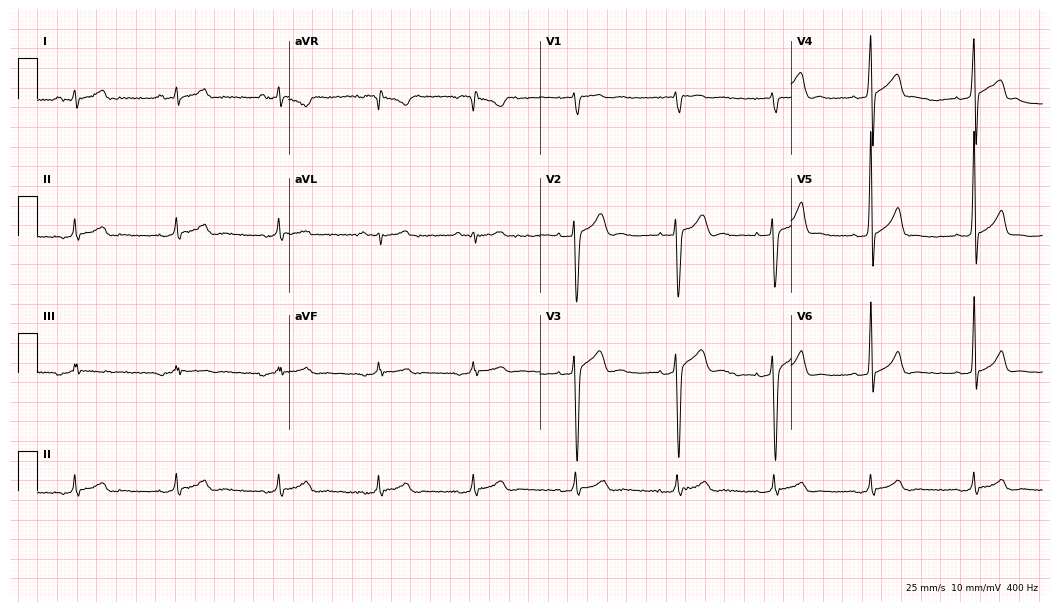
Standard 12-lead ECG recorded from a 17-year-old man (10.2-second recording at 400 Hz). Read as a normal ECG.